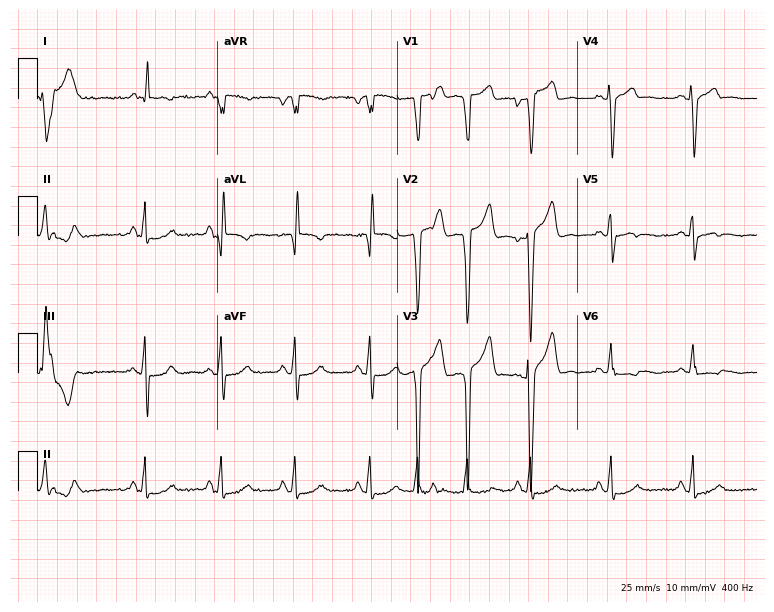
Standard 12-lead ECG recorded from a male, 43 years old (7.3-second recording at 400 Hz). None of these six findings is recorded: first-degree AV block, right bundle branch block, left bundle branch block, sinus bradycardia, atrial fibrillation, sinus tachycardia.